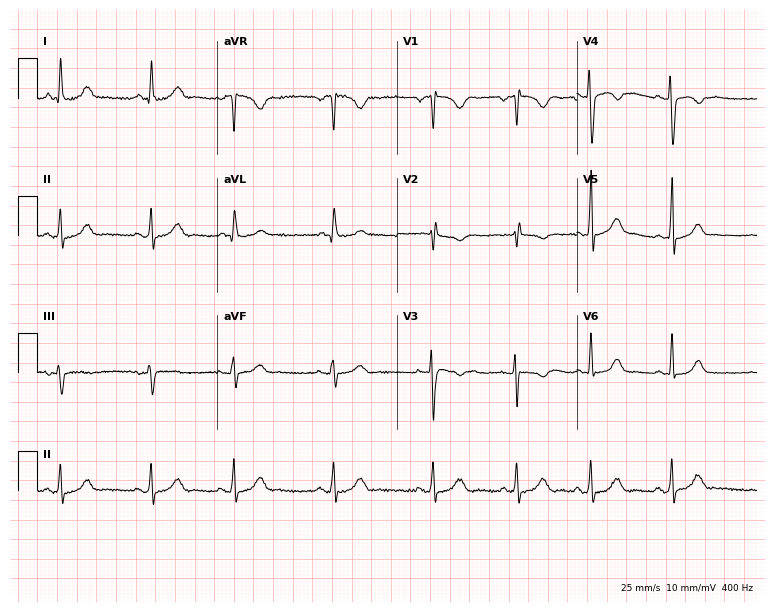
Resting 12-lead electrocardiogram. Patient: a woman, 20 years old. None of these six findings is recorded: first-degree AV block, right bundle branch block, left bundle branch block, sinus bradycardia, atrial fibrillation, sinus tachycardia.